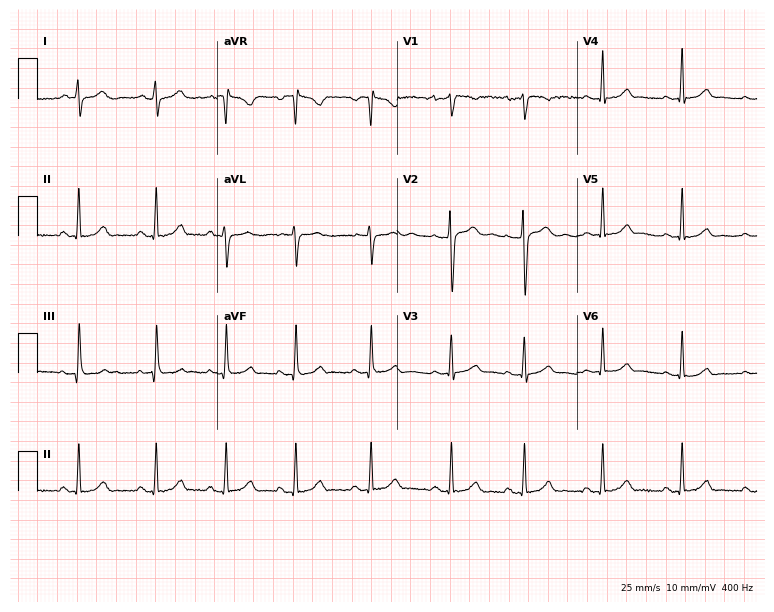
12-lead ECG from a female patient, 17 years old. Recorded interpretation: within normal limits.